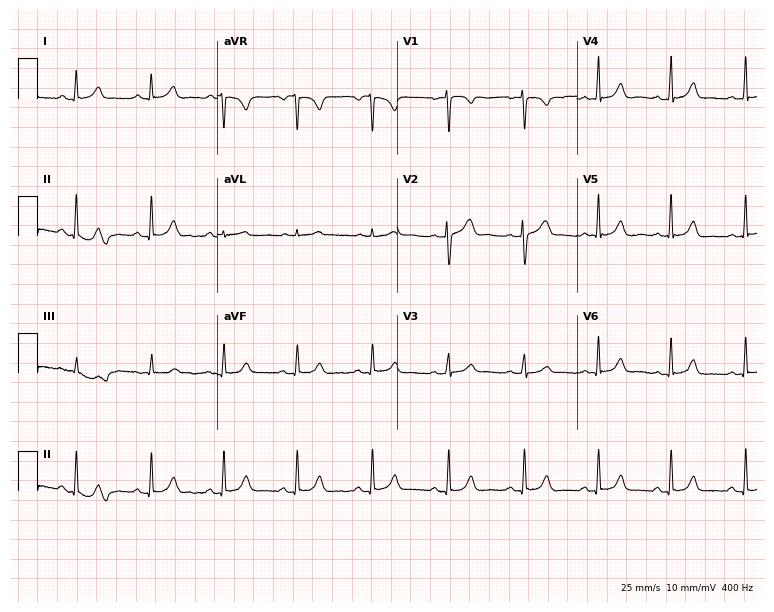
12-lead ECG from a 31-year-old female patient. No first-degree AV block, right bundle branch block, left bundle branch block, sinus bradycardia, atrial fibrillation or sinus tachycardia recorded for this tracing.